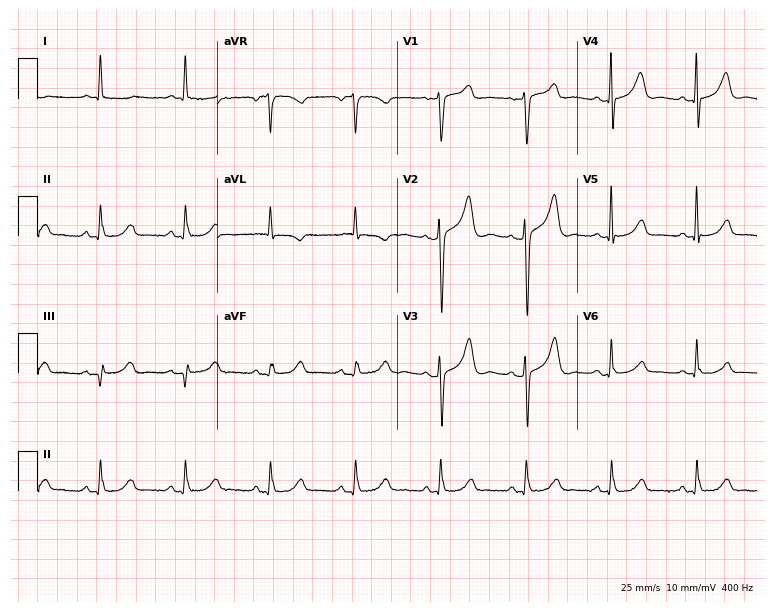
Electrocardiogram, a 53-year-old female. Overall reading on record: normal ECG.